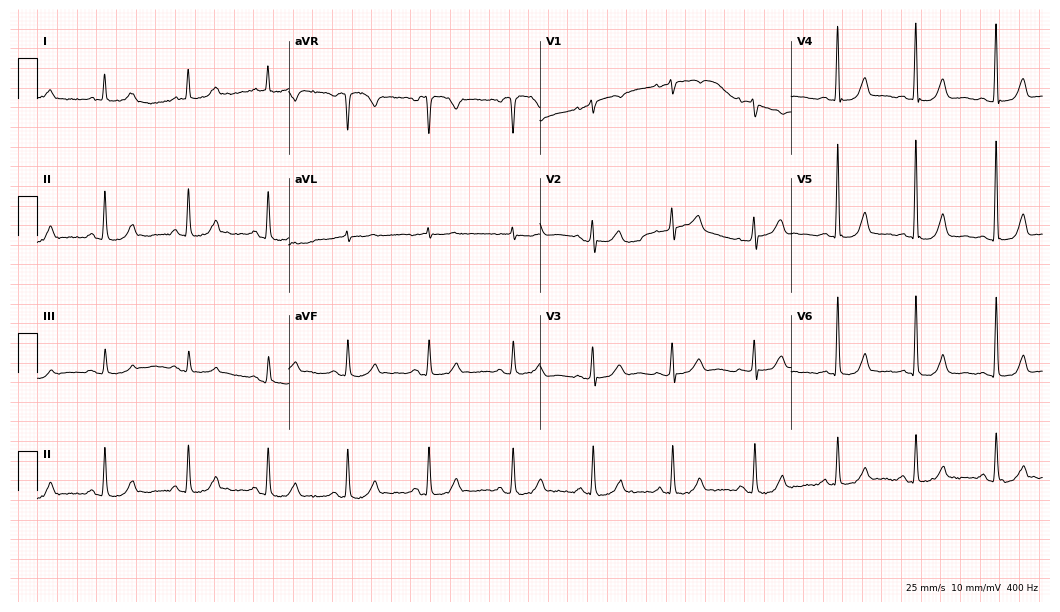
ECG (10.2-second recording at 400 Hz) — a woman, 69 years old. Screened for six findings — first-degree AV block, right bundle branch block (RBBB), left bundle branch block (LBBB), sinus bradycardia, atrial fibrillation (AF), sinus tachycardia — none is recorded.